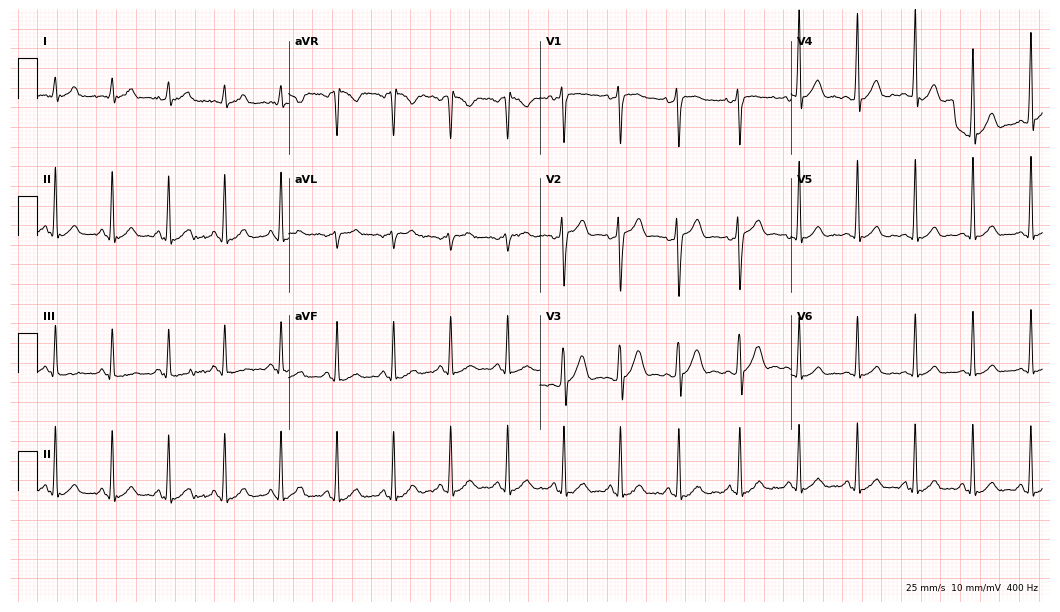
12-lead ECG (10.2-second recording at 400 Hz) from a 24-year-old male patient. Labelled as a normal ECG.